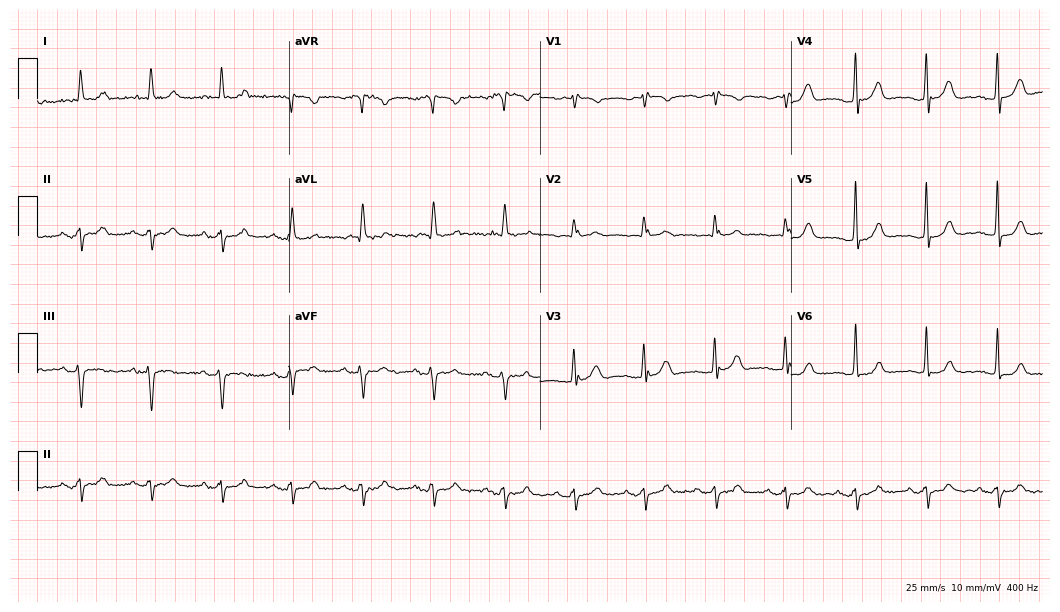
ECG (10.2-second recording at 400 Hz) — a 77-year-old male. Screened for six findings — first-degree AV block, right bundle branch block (RBBB), left bundle branch block (LBBB), sinus bradycardia, atrial fibrillation (AF), sinus tachycardia — none is recorded. Only these six findings were labelled.